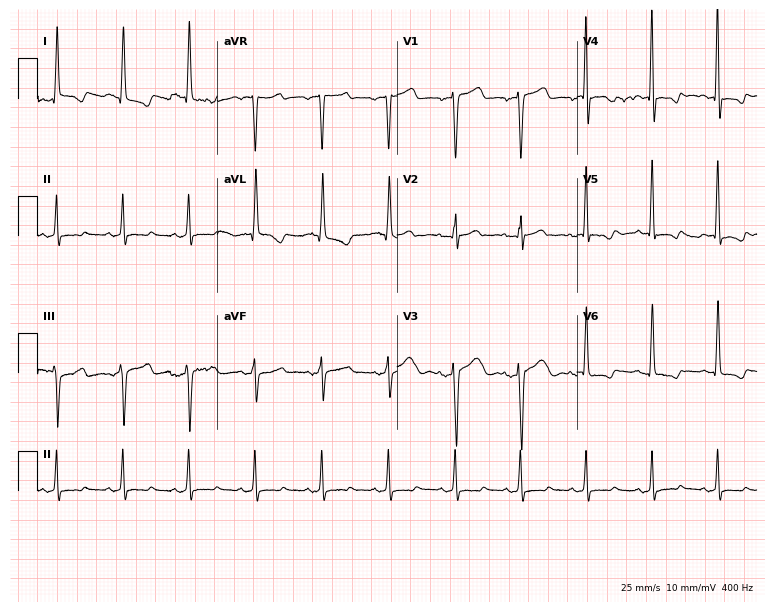
ECG (7.3-second recording at 400 Hz) — a woman, 70 years old. Screened for six findings — first-degree AV block, right bundle branch block, left bundle branch block, sinus bradycardia, atrial fibrillation, sinus tachycardia — none is recorded.